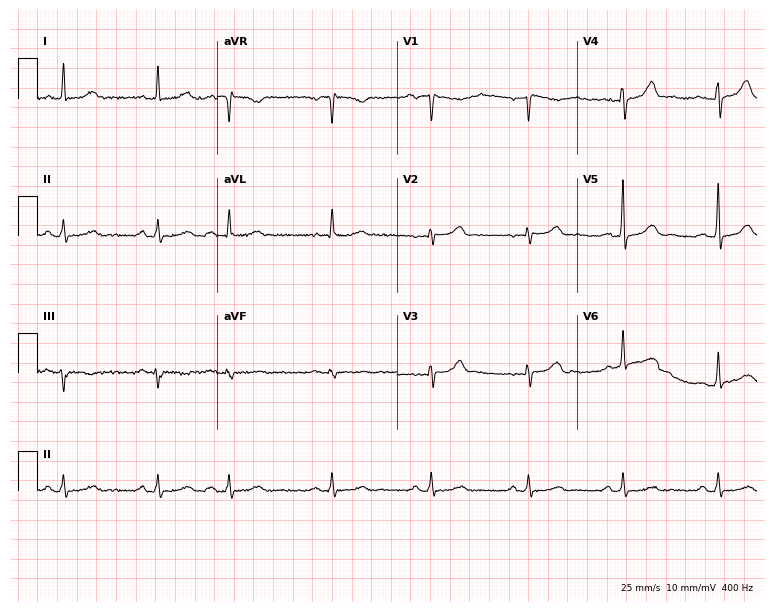
Electrocardiogram (7.3-second recording at 400 Hz), a male, 71 years old. Of the six screened findings (first-degree AV block, right bundle branch block, left bundle branch block, sinus bradycardia, atrial fibrillation, sinus tachycardia), none is recorded. Only these six findings were labelled.